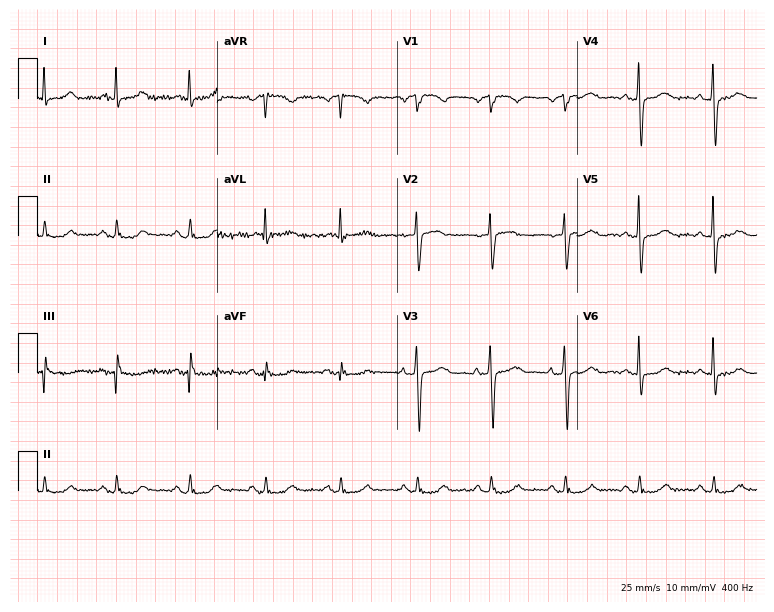
12-lead ECG from a female patient, 71 years old. Screened for six findings — first-degree AV block, right bundle branch block, left bundle branch block, sinus bradycardia, atrial fibrillation, sinus tachycardia — none is recorded. Other findings, if any, are not listed.